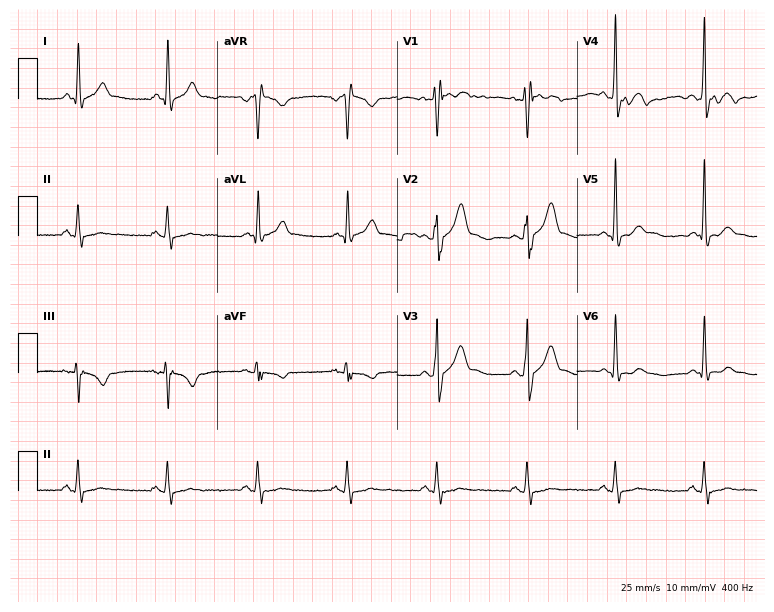
12-lead ECG from a 41-year-old male (7.3-second recording at 400 Hz). No first-degree AV block, right bundle branch block (RBBB), left bundle branch block (LBBB), sinus bradycardia, atrial fibrillation (AF) or sinus tachycardia recorded for this tracing. Findings outside these six are not listed.